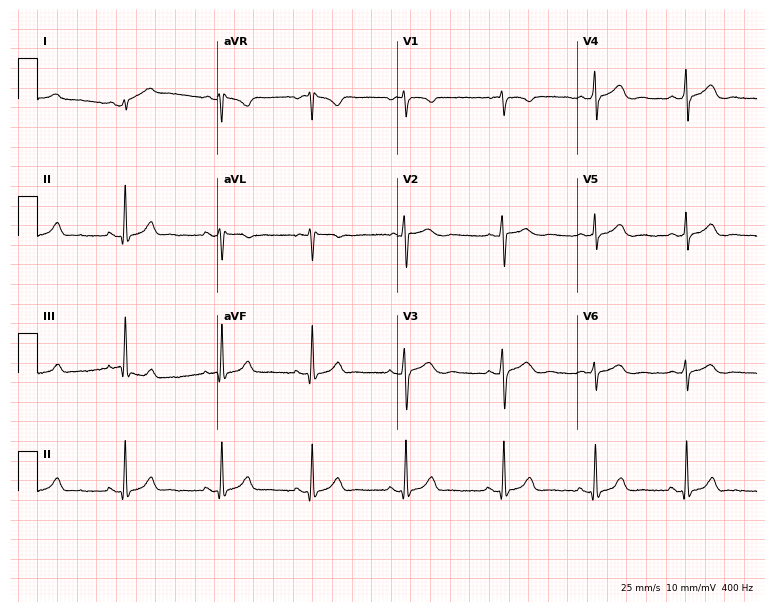
12-lead ECG from a man, 28 years old (7.3-second recording at 400 Hz). No first-degree AV block, right bundle branch block, left bundle branch block, sinus bradycardia, atrial fibrillation or sinus tachycardia recorded for this tracing.